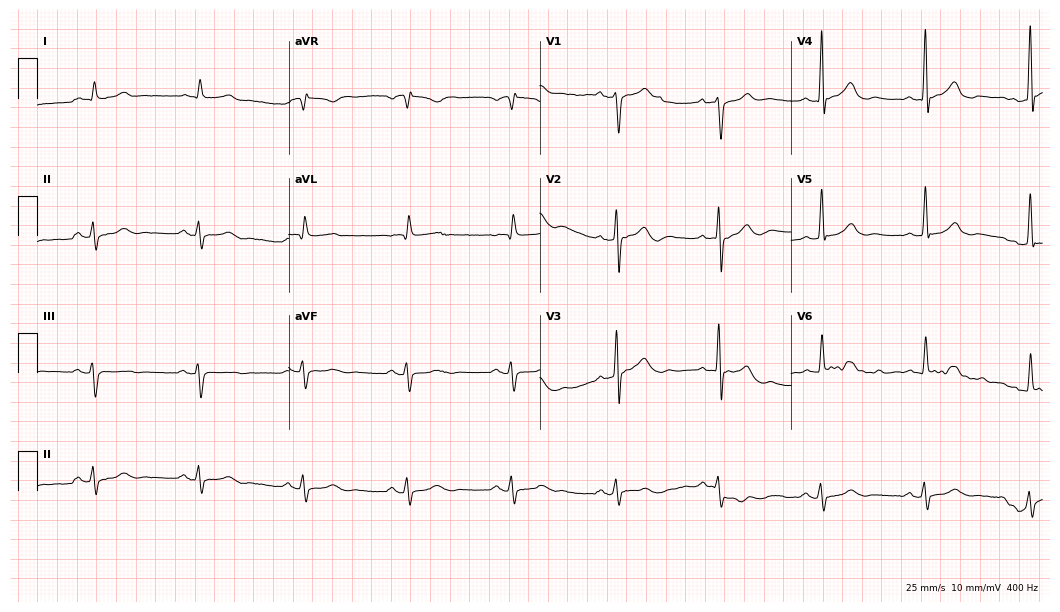
12-lead ECG from a male patient, 78 years old (10.2-second recording at 400 Hz). No first-degree AV block, right bundle branch block, left bundle branch block, sinus bradycardia, atrial fibrillation or sinus tachycardia recorded for this tracing.